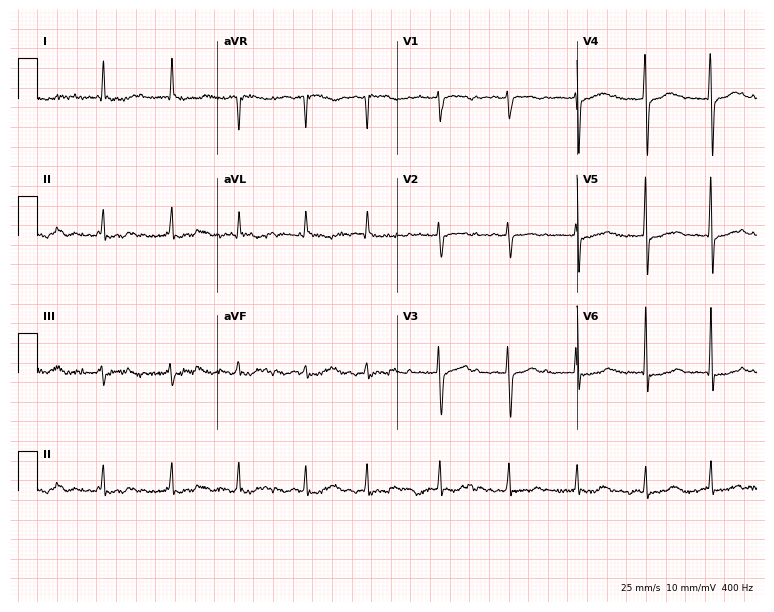
12-lead ECG from a female patient, 68 years old (7.3-second recording at 400 Hz). Shows atrial fibrillation (AF).